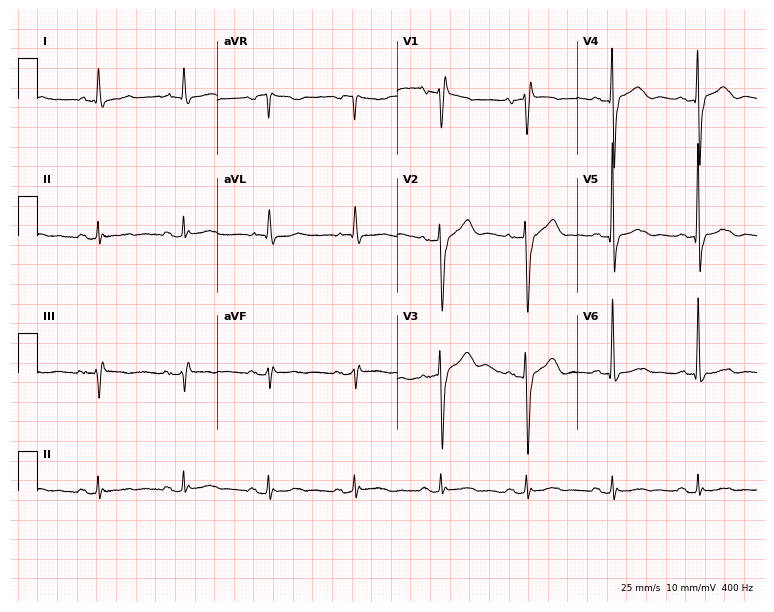
Resting 12-lead electrocardiogram (7.3-second recording at 400 Hz). Patient: an 80-year-old man. None of these six findings is recorded: first-degree AV block, right bundle branch block, left bundle branch block, sinus bradycardia, atrial fibrillation, sinus tachycardia.